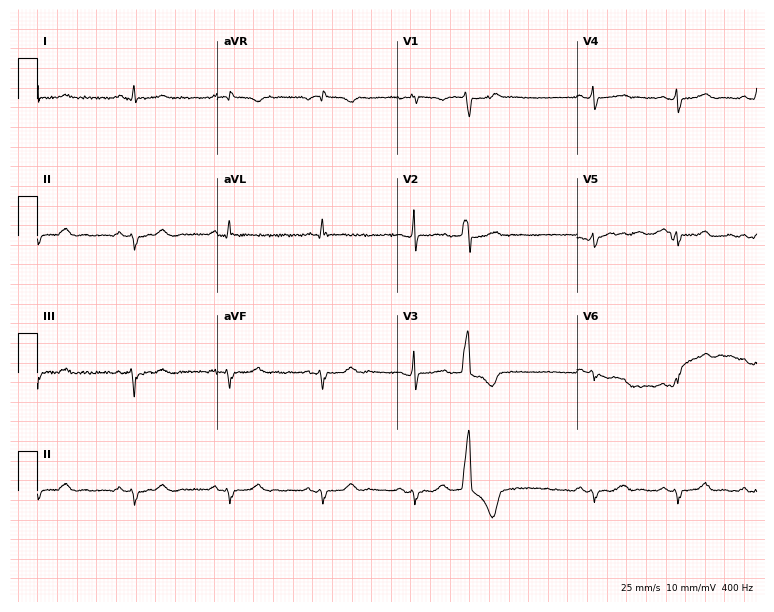
12-lead ECG (7.3-second recording at 400 Hz) from a 46-year-old female. Screened for six findings — first-degree AV block, right bundle branch block (RBBB), left bundle branch block (LBBB), sinus bradycardia, atrial fibrillation (AF), sinus tachycardia — none is recorded.